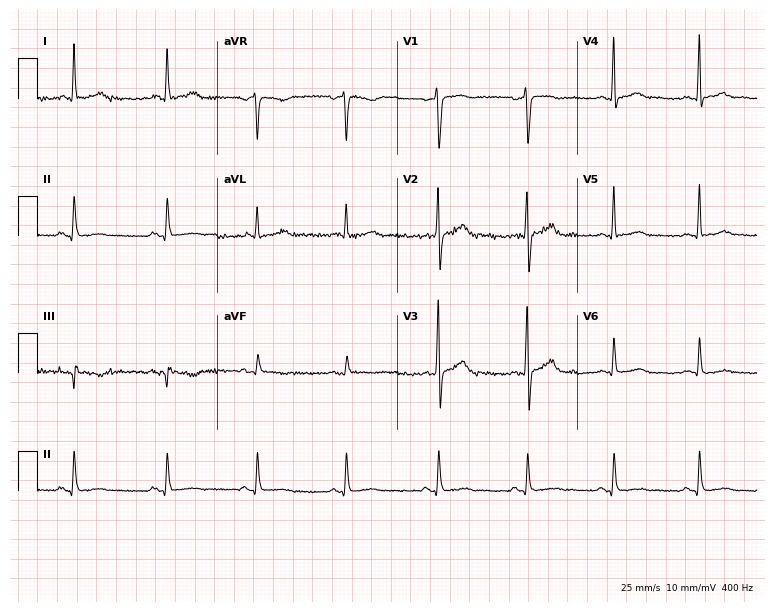
12-lead ECG (7.3-second recording at 400 Hz) from a 39-year-old man. Screened for six findings — first-degree AV block, right bundle branch block, left bundle branch block, sinus bradycardia, atrial fibrillation, sinus tachycardia — none is recorded.